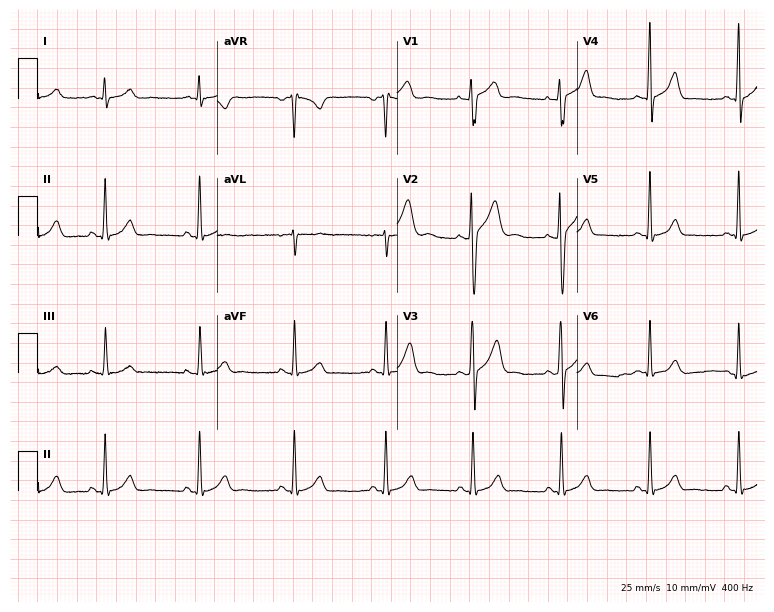
Standard 12-lead ECG recorded from a male, 20 years old (7.3-second recording at 400 Hz). Read as a normal ECG.